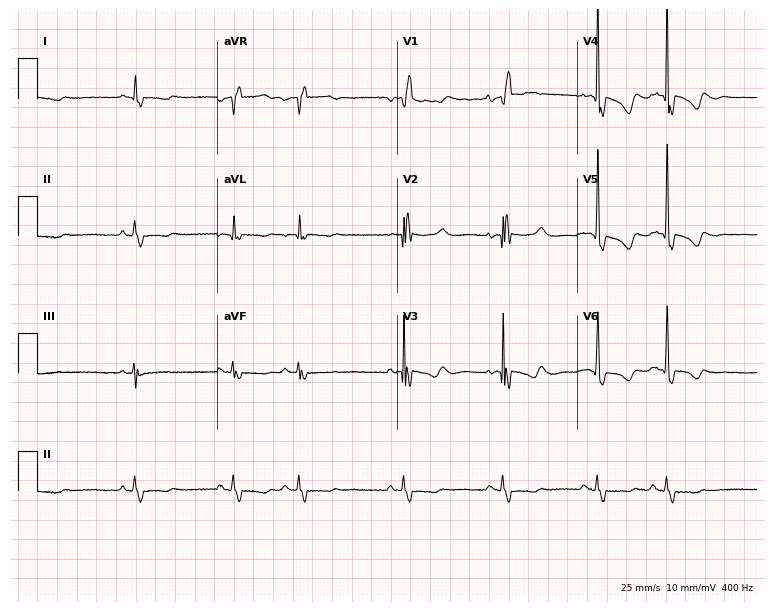
Standard 12-lead ECG recorded from an 81-year-old man. The tracing shows right bundle branch block.